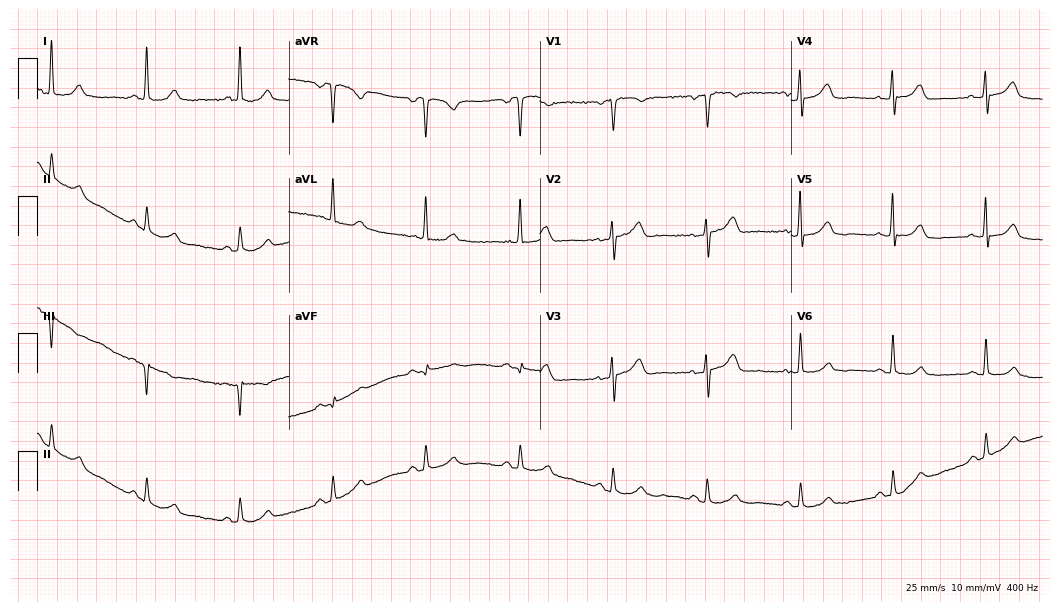
Resting 12-lead electrocardiogram (10.2-second recording at 400 Hz). Patient: a 65-year-old female. Read as a normal ECG.